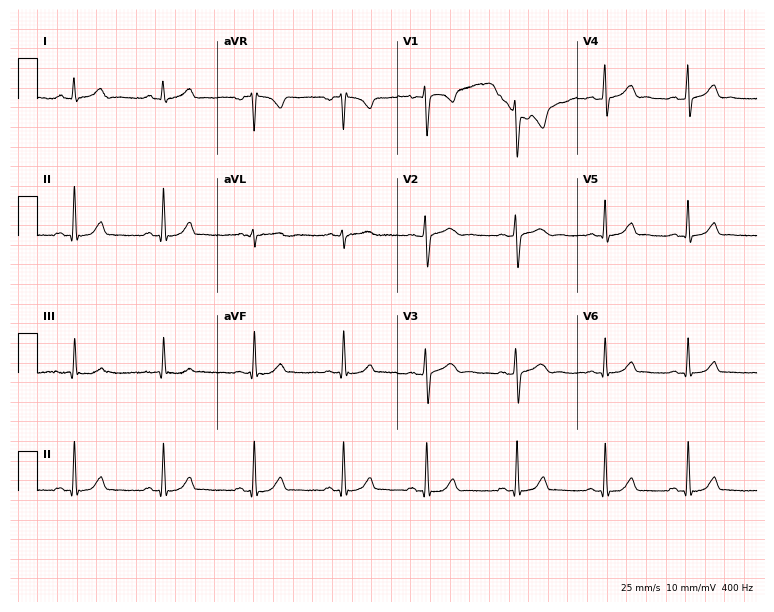
12-lead ECG from a female, 23 years old. No first-degree AV block, right bundle branch block (RBBB), left bundle branch block (LBBB), sinus bradycardia, atrial fibrillation (AF) or sinus tachycardia recorded for this tracing. Other findings, if any, are not listed.